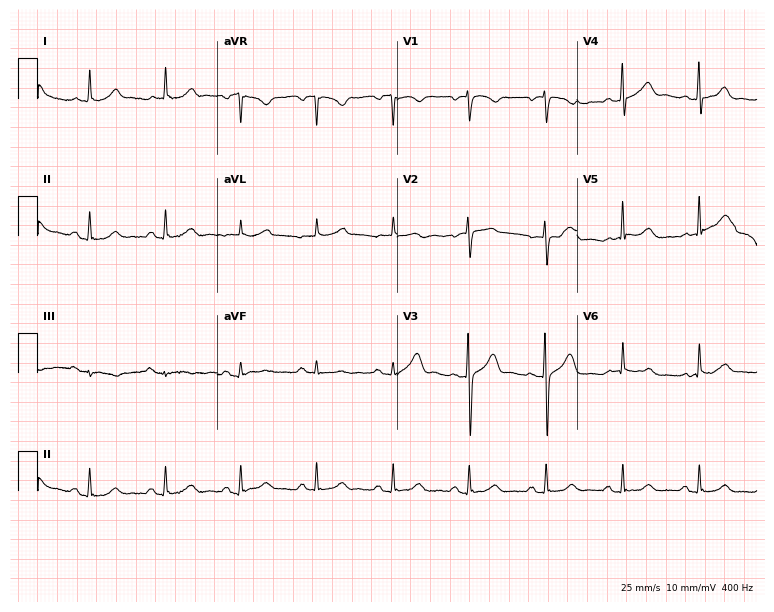
12-lead ECG from a woman, 80 years old (7.3-second recording at 400 Hz). Recorded interpretation: within normal limits.